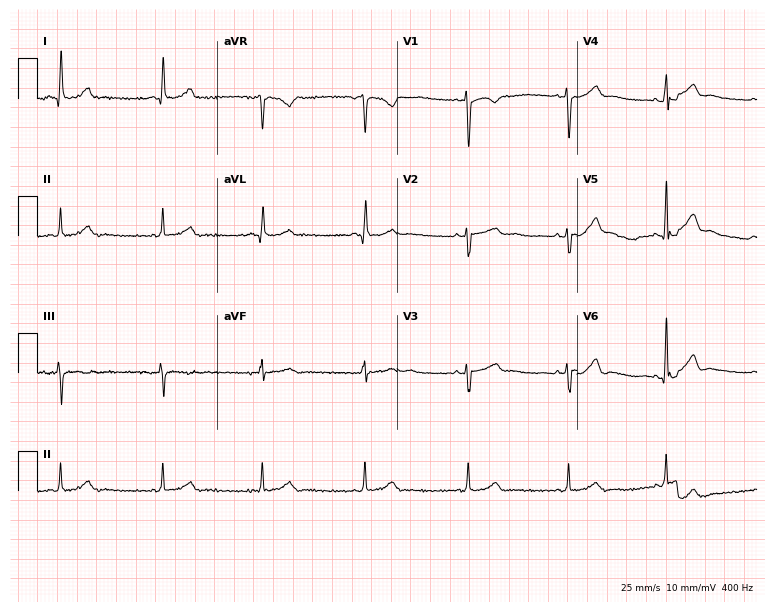
ECG (7.3-second recording at 400 Hz) — a 34-year-old female. Labelled as a normal ECG.